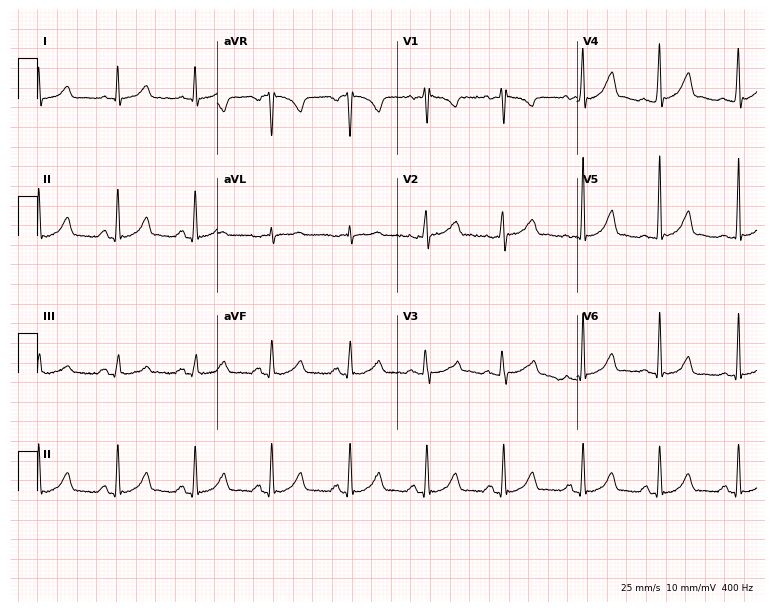
Standard 12-lead ECG recorded from a female, 19 years old (7.3-second recording at 400 Hz). None of these six findings is recorded: first-degree AV block, right bundle branch block, left bundle branch block, sinus bradycardia, atrial fibrillation, sinus tachycardia. Other findings, if any, are not listed.